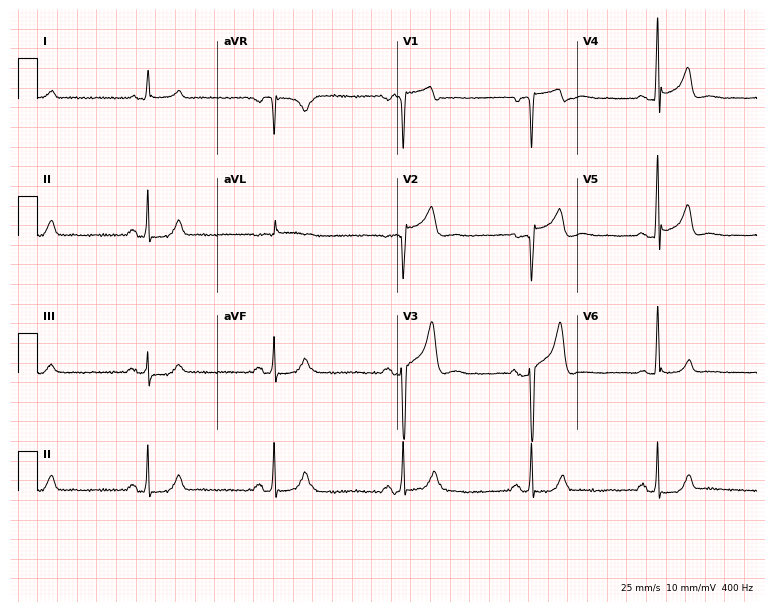
12-lead ECG from a 60-year-old man. Findings include sinus bradycardia (a sinus rate of 50 beats per minute or less).